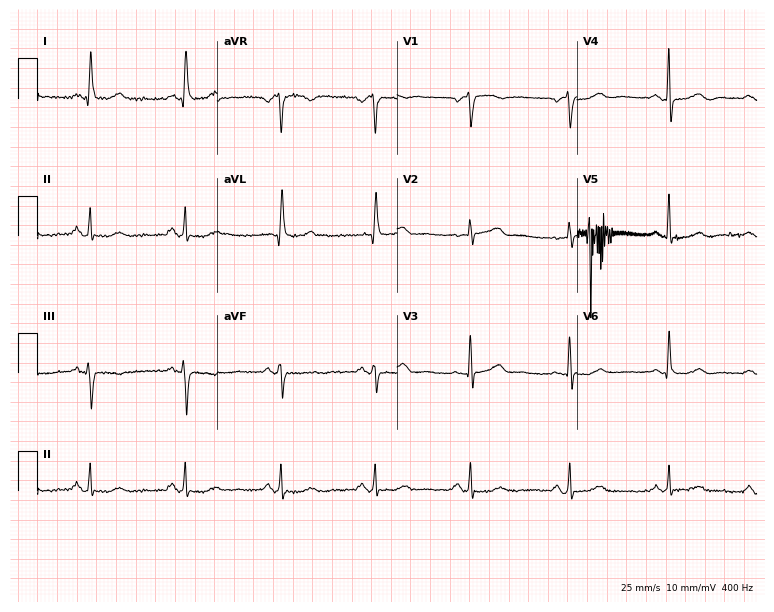
ECG — a 63-year-old woman. Screened for six findings — first-degree AV block, right bundle branch block (RBBB), left bundle branch block (LBBB), sinus bradycardia, atrial fibrillation (AF), sinus tachycardia — none is recorded. Only these six findings were labelled.